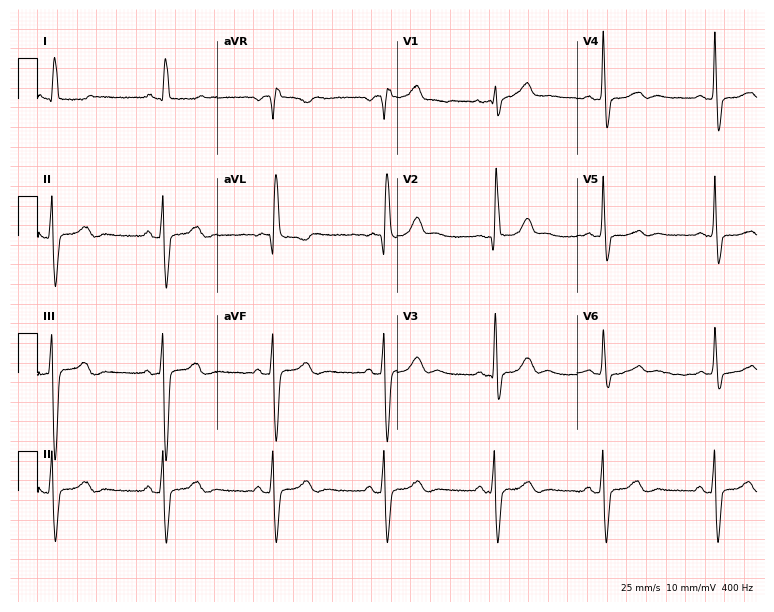
Resting 12-lead electrocardiogram (7.3-second recording at 400 Hz). Patient: an 80-year-old female. The tracing shows right bundle branch block.